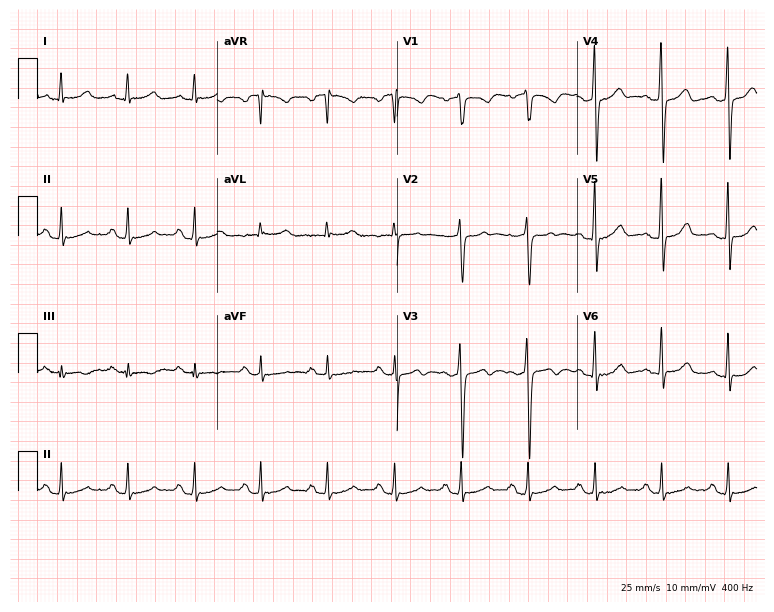
ECG — a 58-year-old male patient. Screened for six findings — first-degree AV block, right bundle branch block (RBBB), left bundle branch block (LBBB), sinus bradycardia, atrial fibrillation (AF), sinus tachycardia — none is recorded.